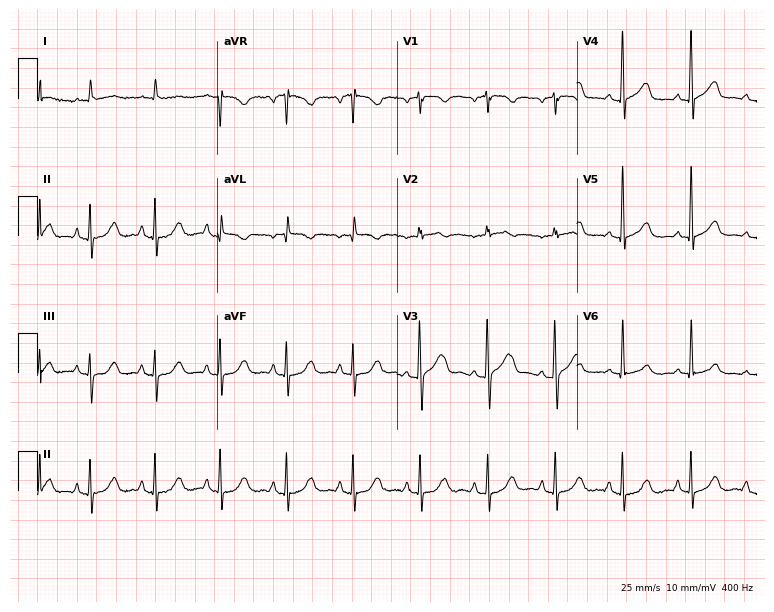
Standard 12-lead ECG recorded from an 84-year-old woman (7.3-second recording at 400 Hz). Read as a normal ECG.